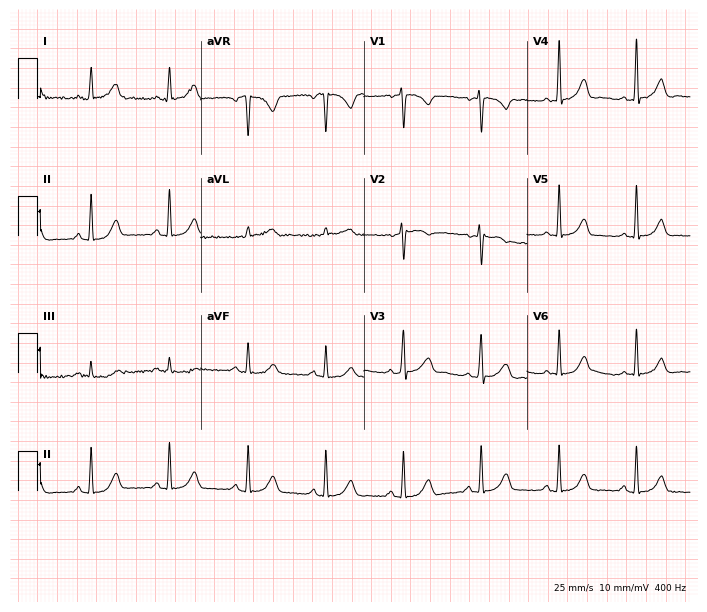
12-lead ECG from a 42-year-old female. No first-degree AV block, right bundle branch block, left bundle branch block, sinus bradycardia, atrial fibrillation or sinus tachycardia recorded for this tracing.